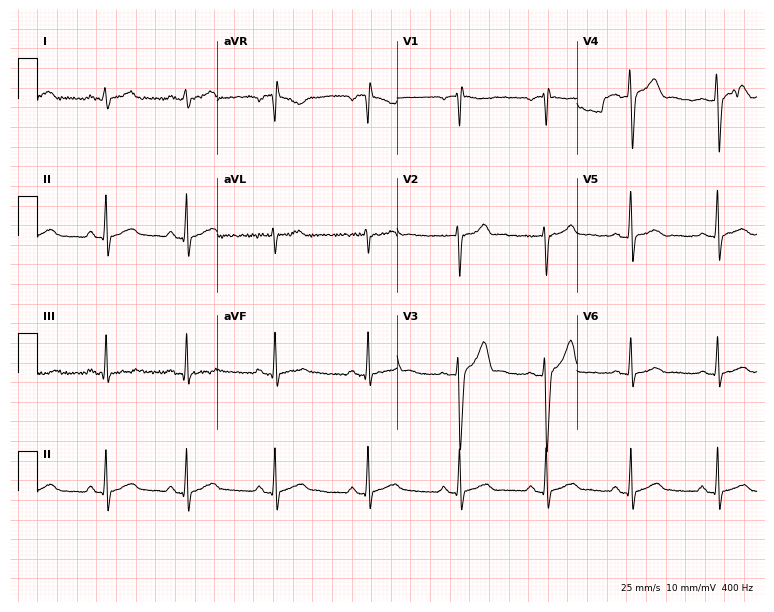
Standard 12-lead ECG recorded from a male, 24 years old (7.3-second recording at 400 Hz). None of these six findings is recorded: first-degree AV block, right bundle branch block, left bundle branch block, sinus bradycardia, atrial fibrillation, sinus tachycardia.